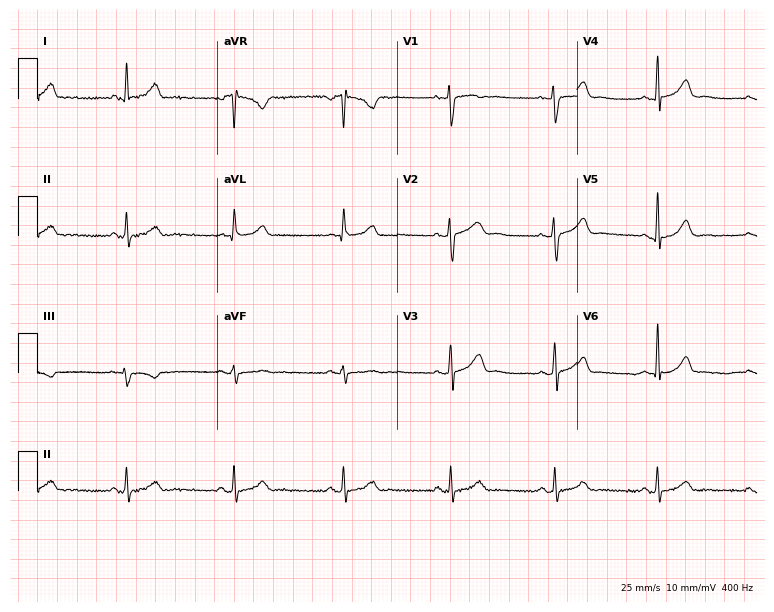
Electrocardiogram, a 34-year-old woman. Of the six screened findings (first-degree AV block, right bundle branch block, left bundle branch block, sinus bradycardia, atrial fibrillation, sinus tachycardia), none is recorded. Other findings, if any, are not listed.